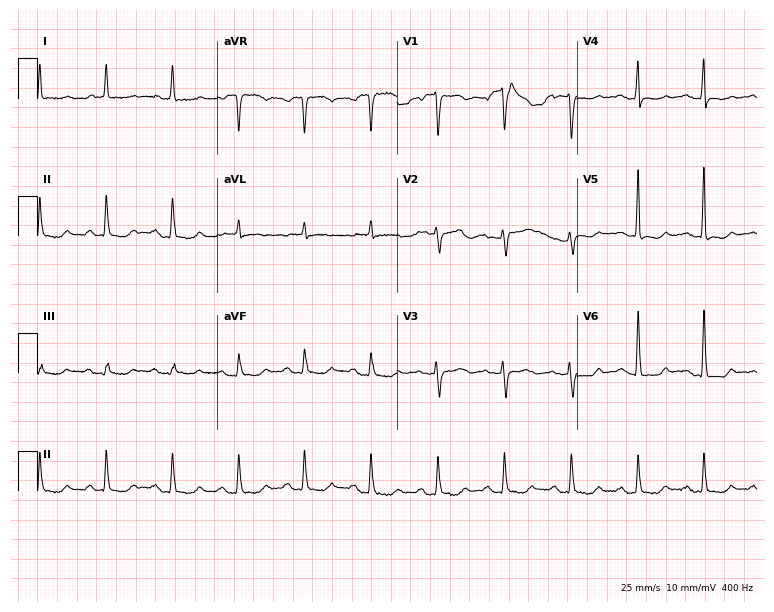
Resting 12-lead electrocardiogram (7.3-second recording at 400 Hz). Patient: a 58-year-old female. None of these six findings is recorded: first-degree AV block, right bundle branch block, left bundle branch block, sinus bradycardia, atrial fibrillation, sinus tachycardia. Findings outside these six are not listed.